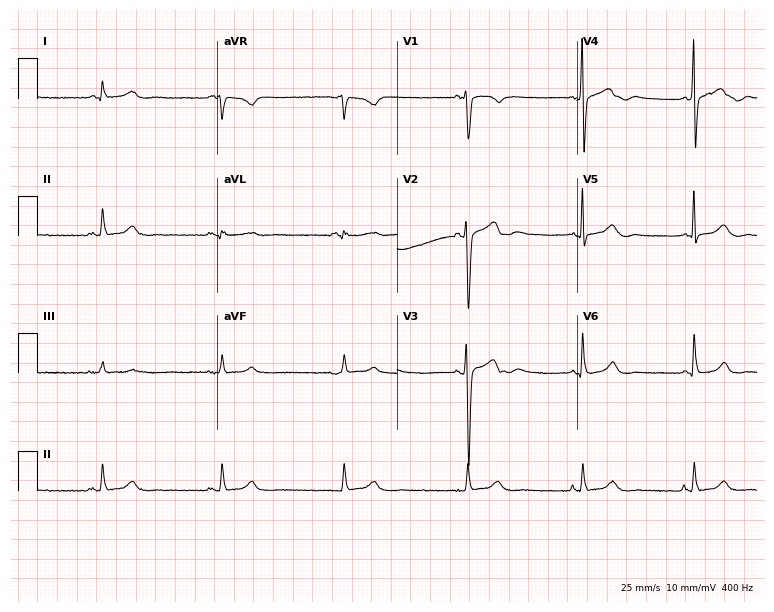
ECG (7.3-second recording at 400 Hz) — a 49-year-old female. Findings include sinus bradycardia (a sinus rate of 50 beats per minute or less).